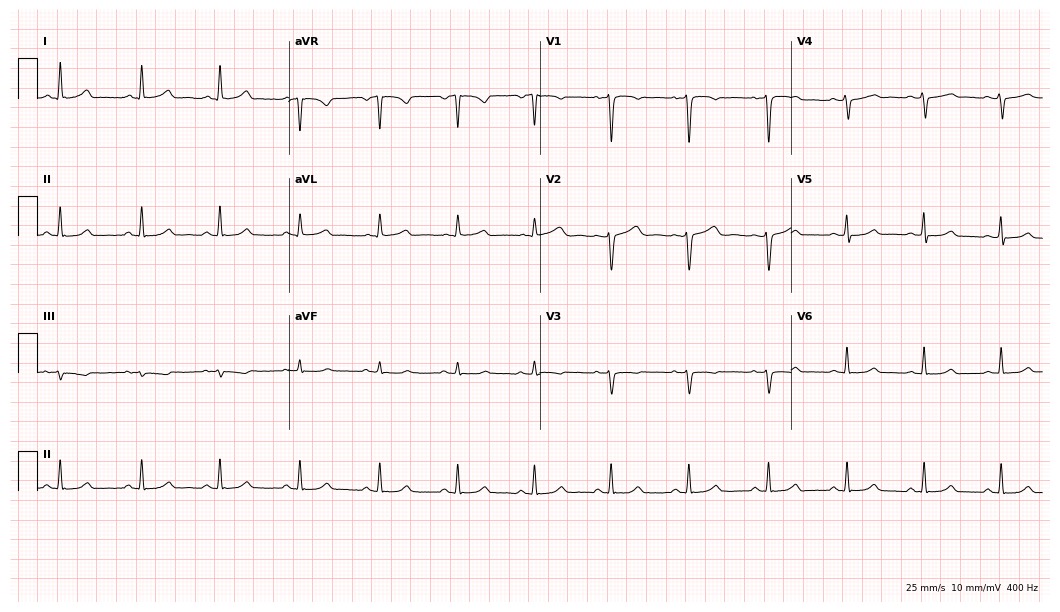
12-lead ECG (10.2-second recording at 400 Hz) from a female patient, 29 years old. Labelled as a normal ECG.